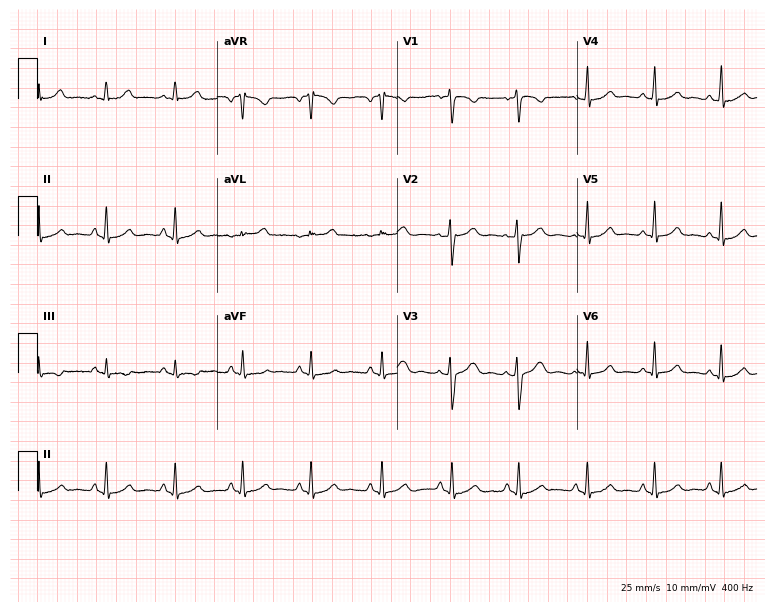
Resting 12-lead electrocardiogram (7.3-second recording at 400 Hz). Patient: a female, 29 years old. None of these six findings is recorded: first-degree AV block, right bundle branch block, left bundle branch block, sinus bradycardia, atrial fibrillation, sinus tachycardia. Findings outside these six are not listed.